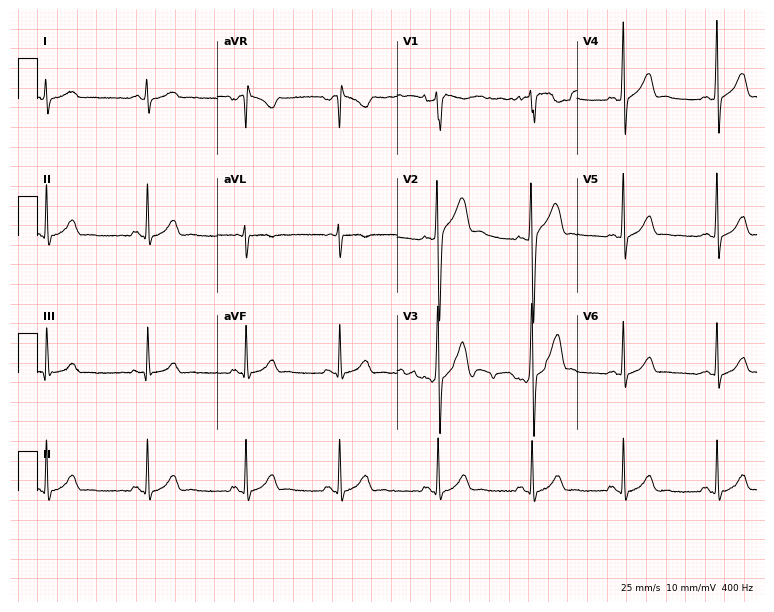
12-lead ECG from a male, 27 years old (7.3-second recording at 400 Hz). Recorded interpretation: within normal limits.